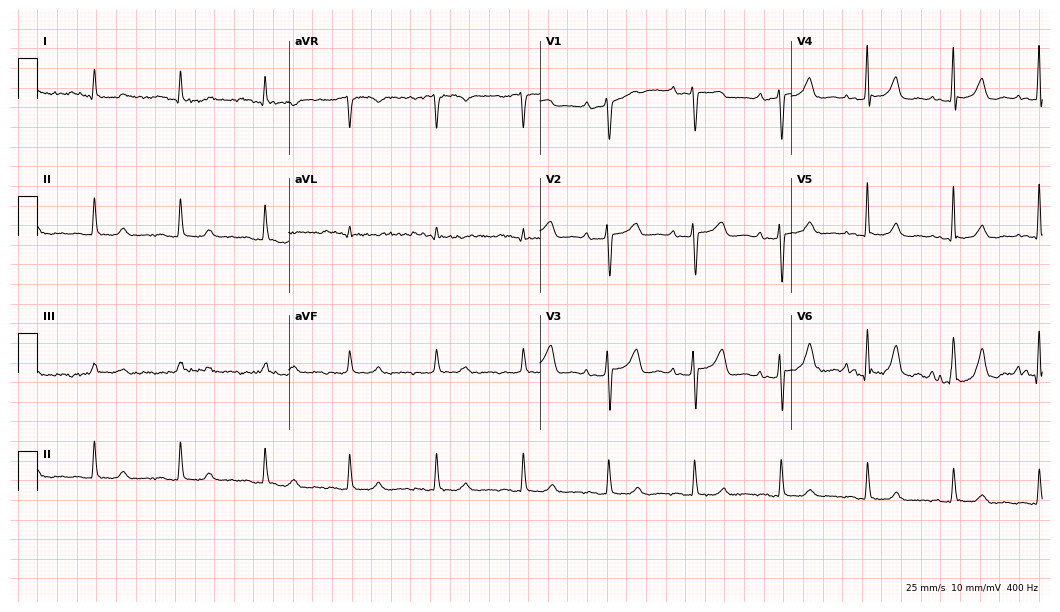
Standard 12-lead ECG recorded from a 42-year-old woman. Read as a normal ECG.